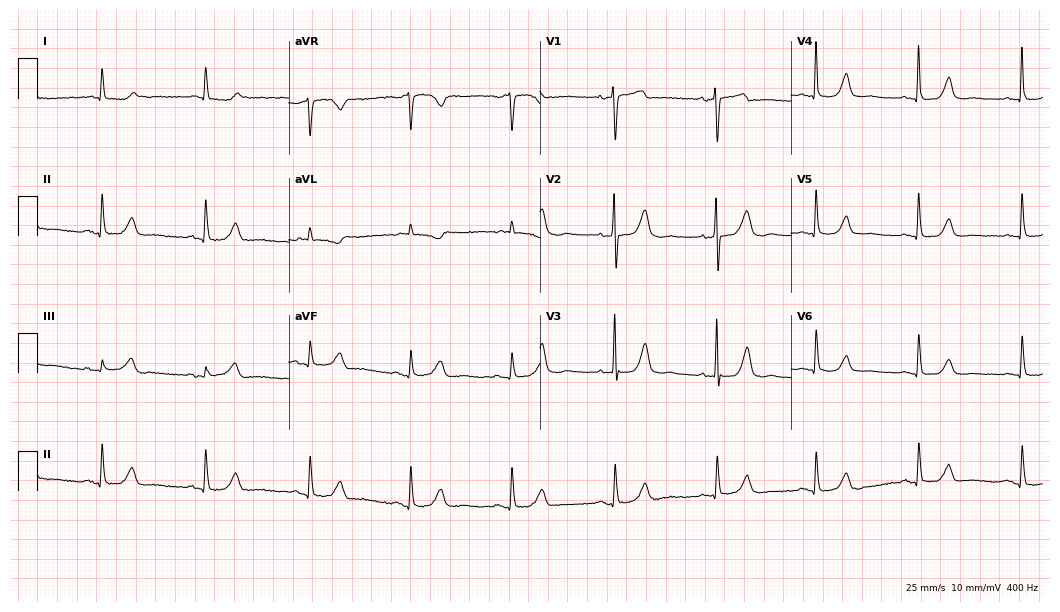
12-lead ECG from a 70-year-old woman. Recorded interpretation: within normal limits.